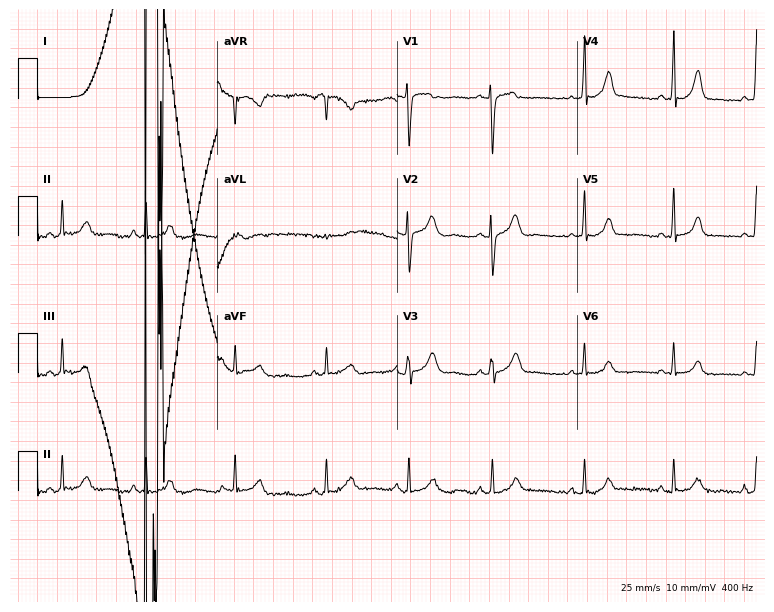
12-lead ECG from a female patient, 30 years old. Recorded interpretation: within normal limits.